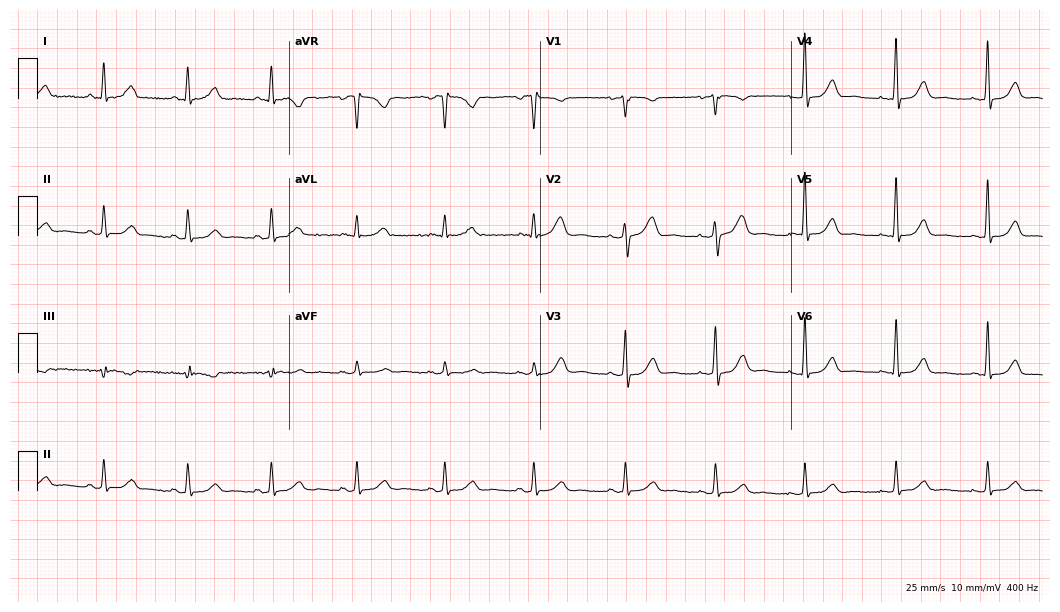
ECG (10.2-second recording at 400 Hz) — a woman, 59 years old. Labelled as a normal ECG.